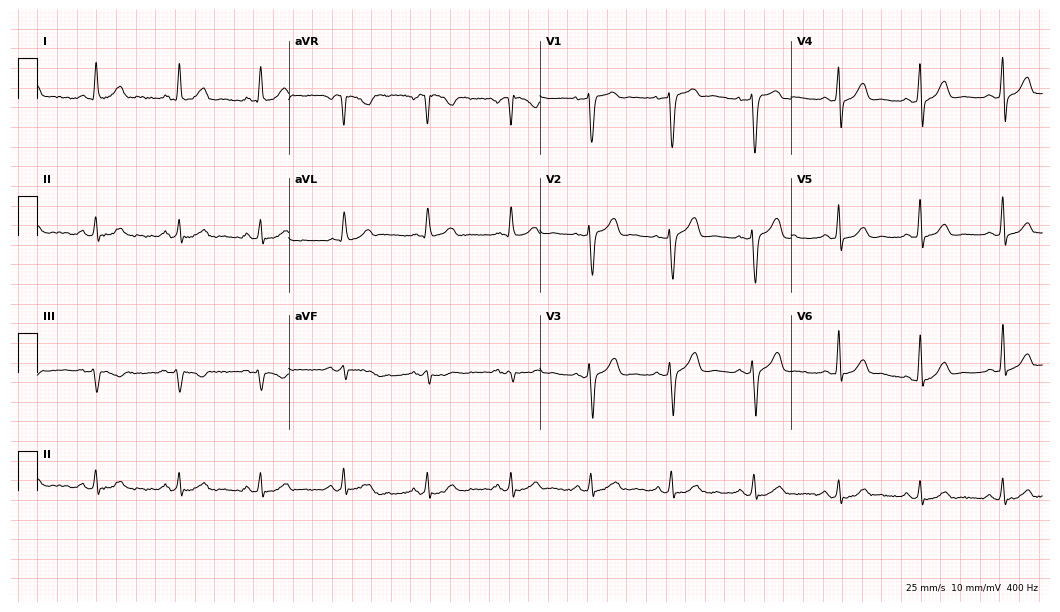
Standard 12-lead ECG recorded from a female patient, 66 years old (10.2-second recording at 400 Hz). Read as a normal ECG.